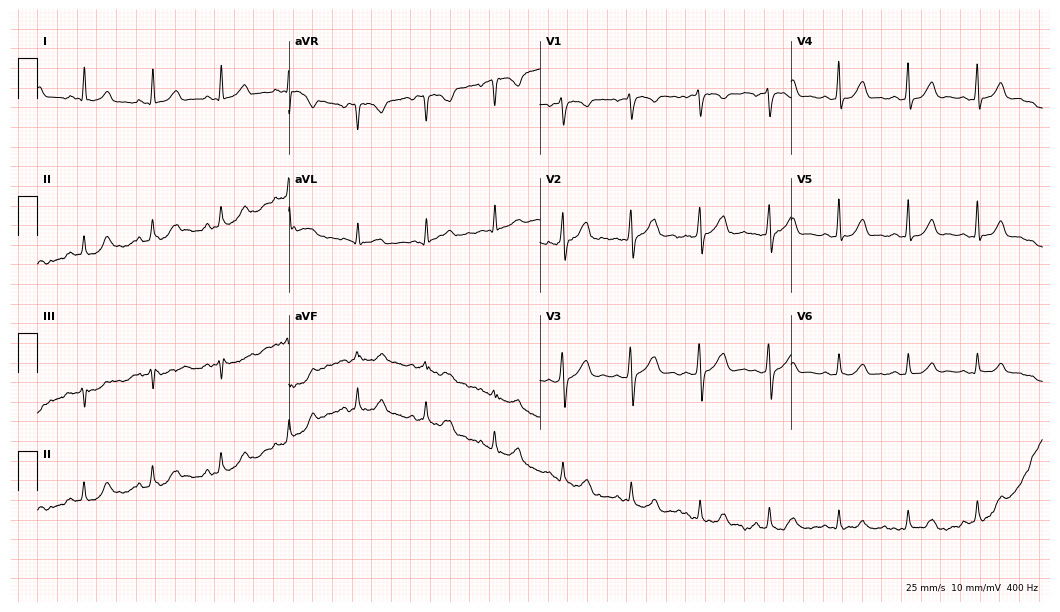
Electrocardiogram (10.2-second recording at 400 Hz), a 54-year-old woman. Overall reading on record: normal ECG.